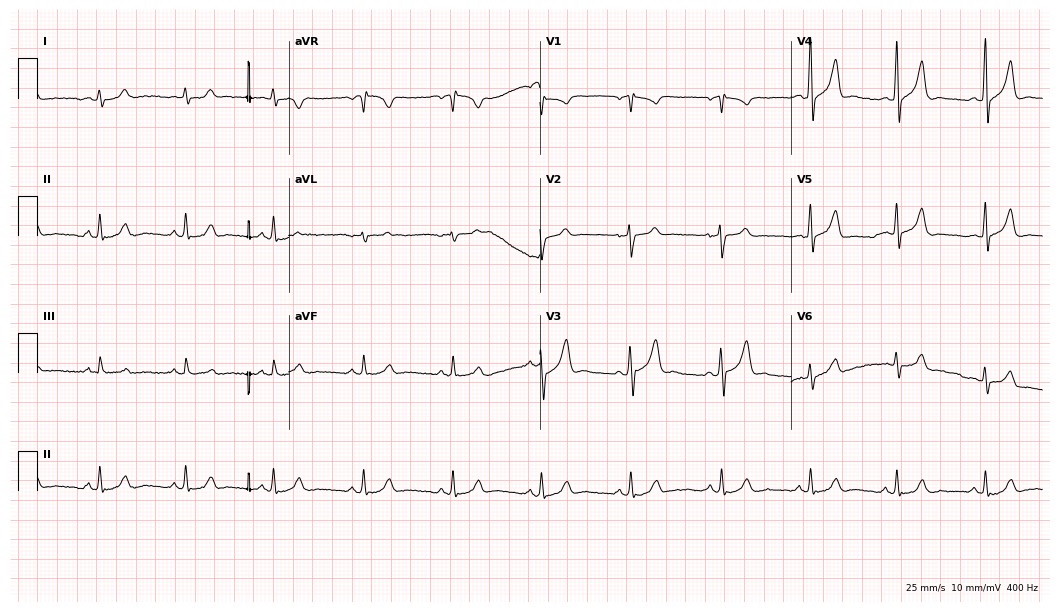
12-lead ECG from a 38-year-old male. No first-degree AV block, right bundle branch block, left bundle branch block, sinus bradycardia, atrial fibrillation or sinus tachycardia recorded for this tracing.